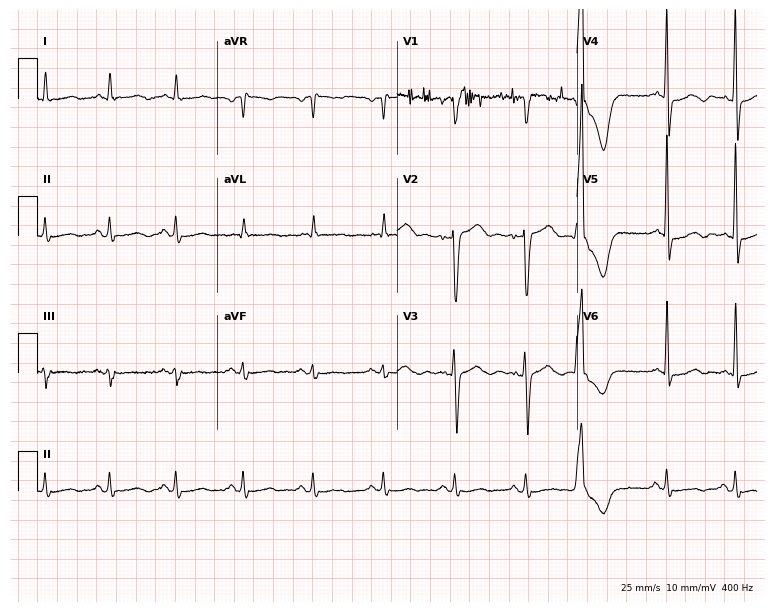
ECG — a man, 72 years old. Labelled as a normal ECG.